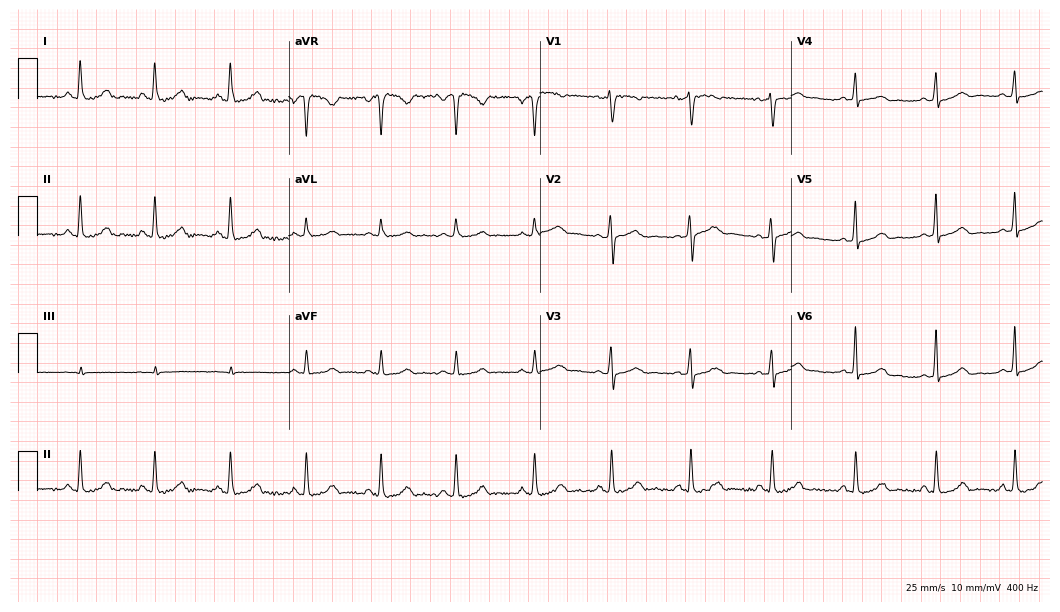
Electrocardiogram (10.2-second recording at 400 Hz), a female patient, 36 years old. Overall reading on record: normal ECG.